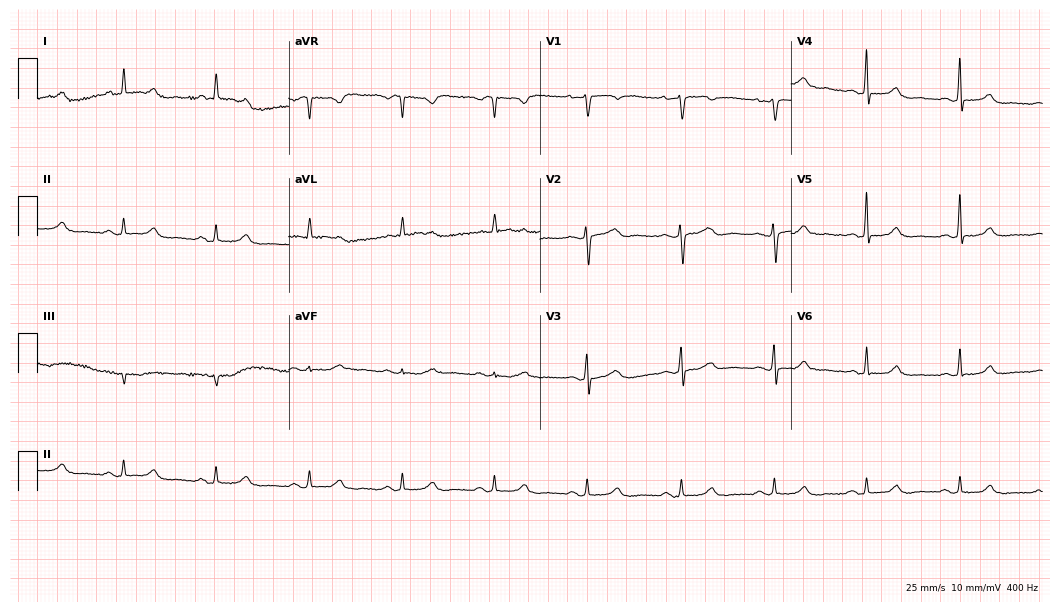
Standard 12-lead ECG recorded from a woman, 55 years old. Read as a normal ECG.